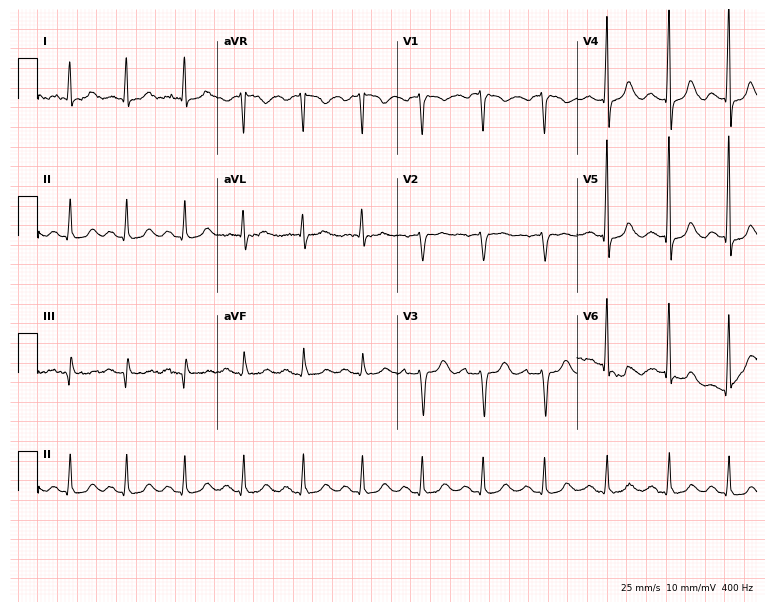
Standard 12-lead ECG recorded from a 76-year-old female (7.3-second recording at 400 Hz). None of these six findings is recorded: first-degree AV block, right bundle branch block, left bundle branch block, sinus bradycardia, atrial fibrillation, sinus tachycardia. Only these six findings were labelled.